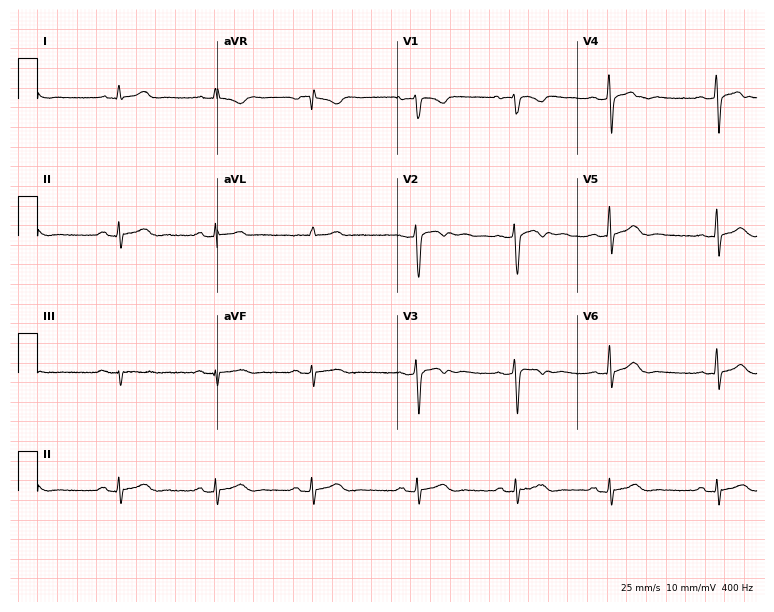
Standard 12-lead ECG recorded from a woman, 33 years old. None of these six findings is recorded: first-degree AV block, right bundle branch block, left bundle branch block, sinus bradycardia, atrial fibrillation, sinus tachycardia. Only these six findings were labelled.